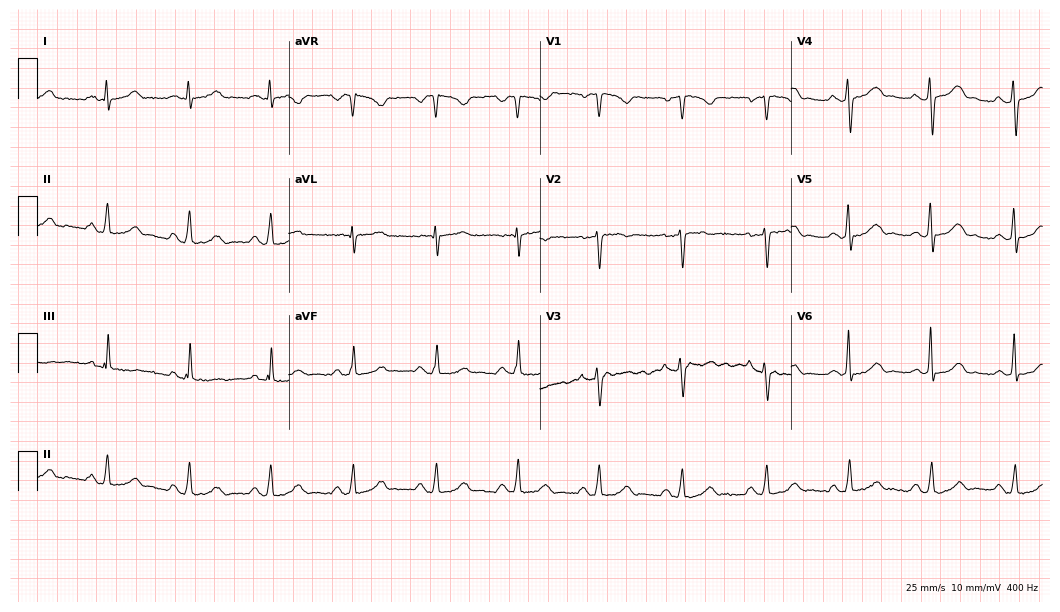
Standard 12-lead ECG recorded from a female patient, 35 years old. Read as a normal ECG.